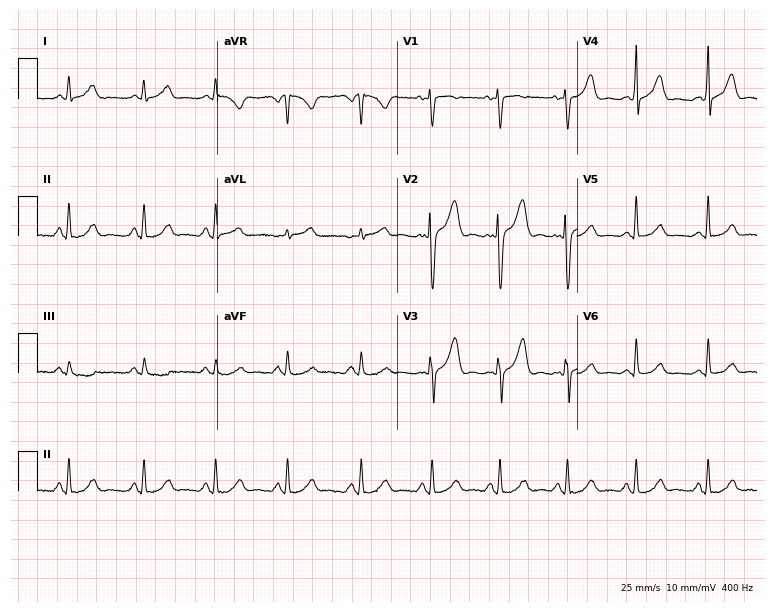
ECG (7.3-second recording at 400 Hz) — a 29-year-old female. Labelled as a normal ECG.